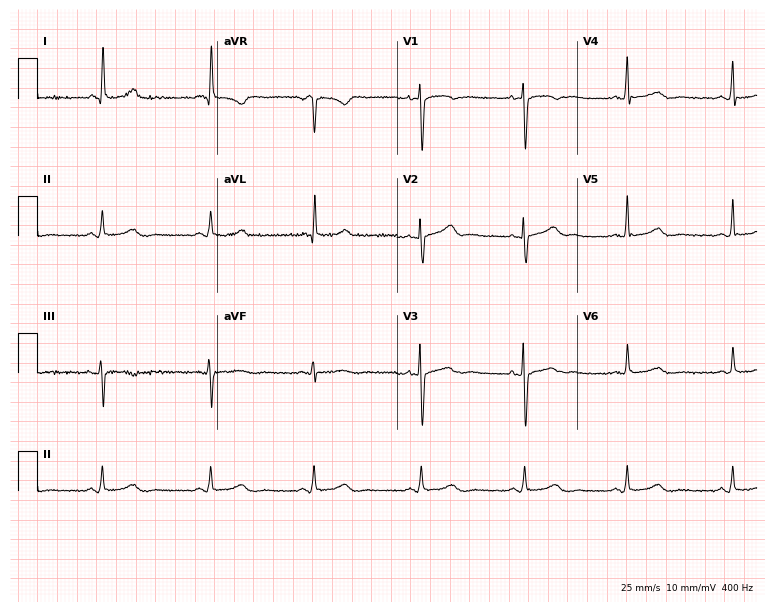
Standard 12-lead ECG recorded from a 57-year-old female. Read as a normal ECG.